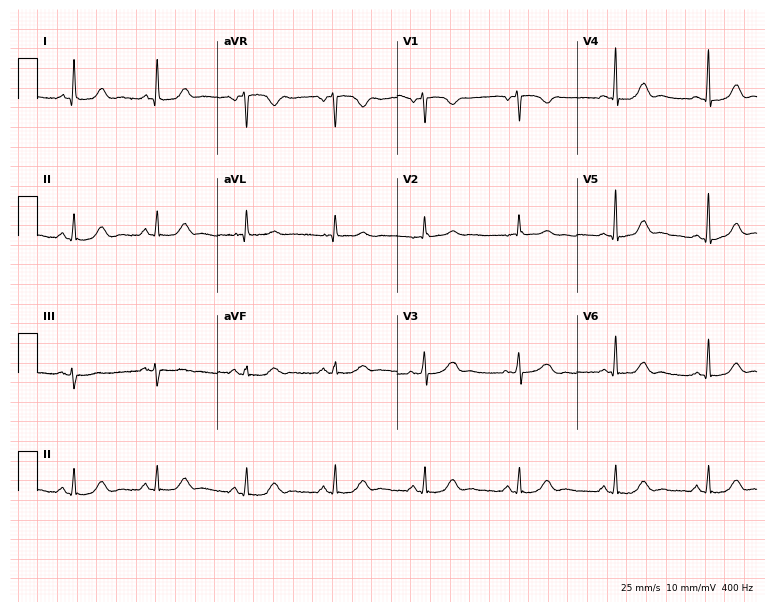
Electrocardiogram, a 71-year-old female. Overall reading on record: normal ECG.